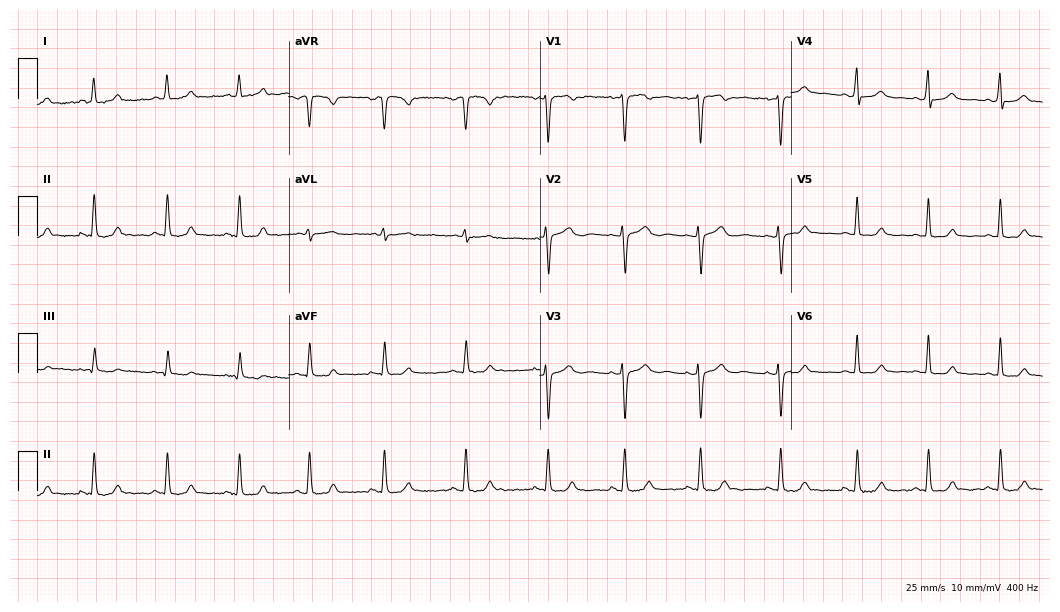
ECG — a female, 36 years old. Labelled as a normal ECG.